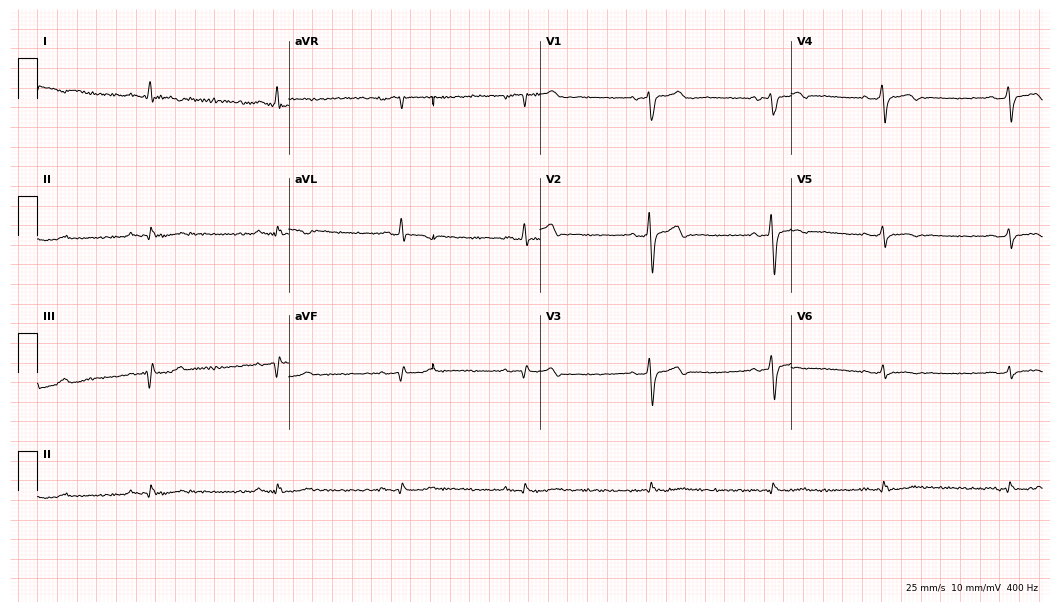
12-lead ECG from a 53-year-old man. No first-degree AV block, right bundle branch block (RBBB), left bundle branch block (LBBB), sinus bradycardia, atrial fibrillation (AF) or sinus tachycardia recorded for this tracing. Findings outside these six are not listed.